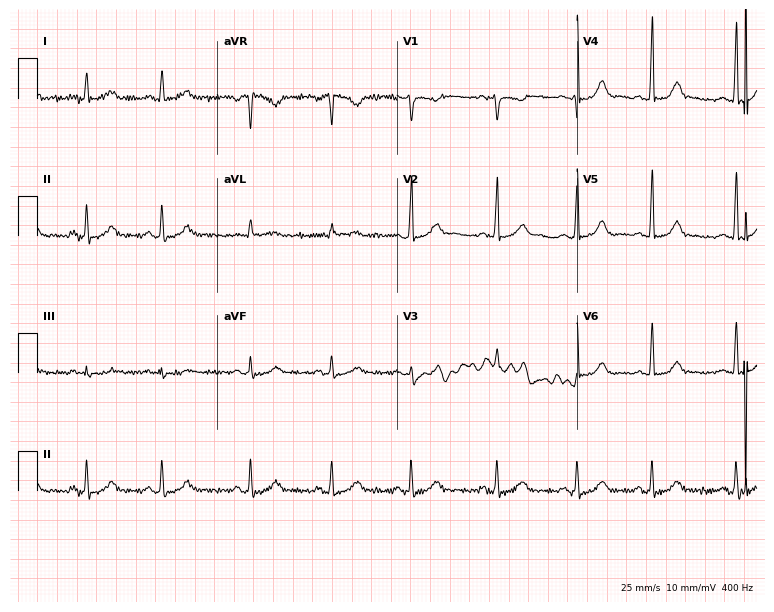
Resting 12-lead electrocardiogram (7.3-second recording at 400 Hz). Patient: a 32-year-old female. Read as a normal ECG.